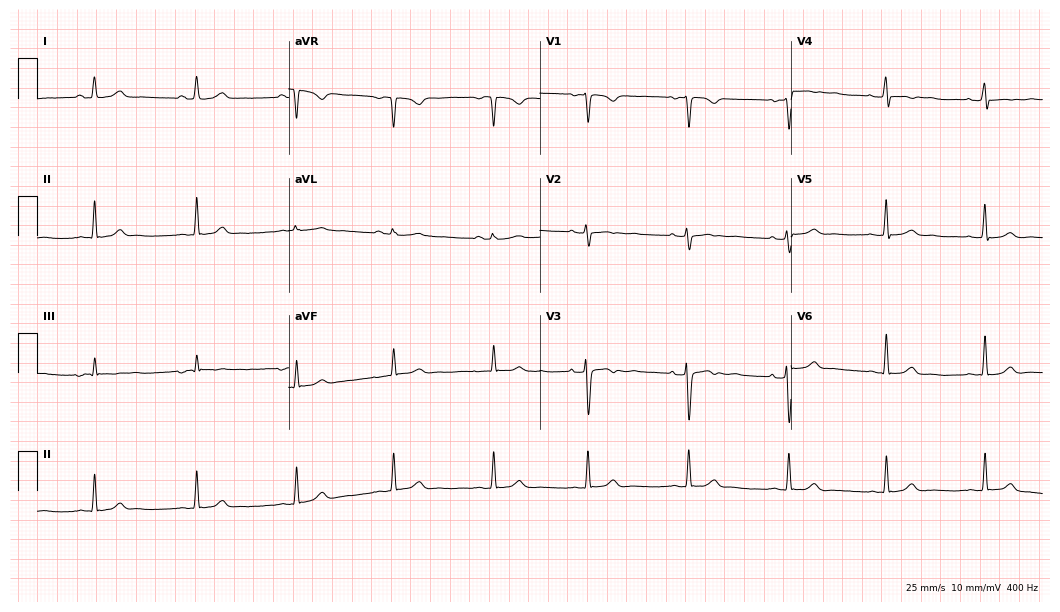
12-lead ECG from a 19-year-old female (10.2-second recording at 400 Hz). Recorded interpretation: within normal limits.